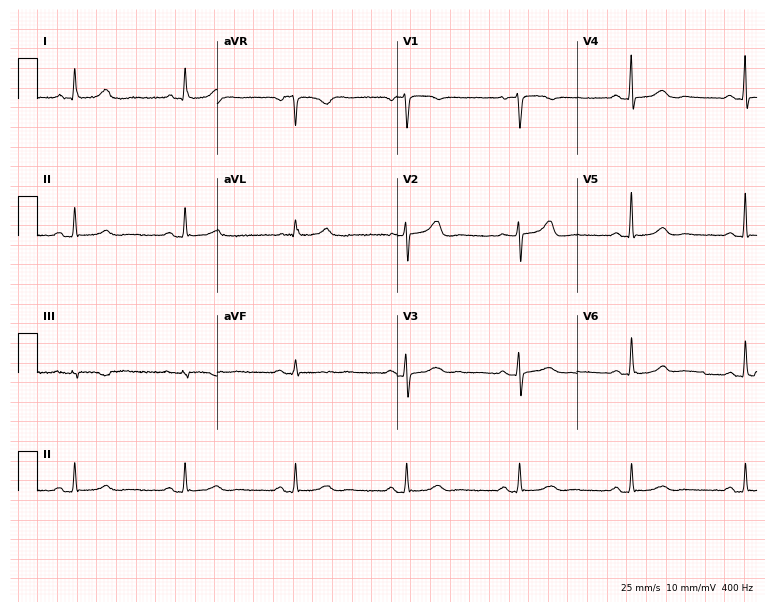
Electrocardiogram, a 77-year-old woman. Overall reading on record: normal ECG.